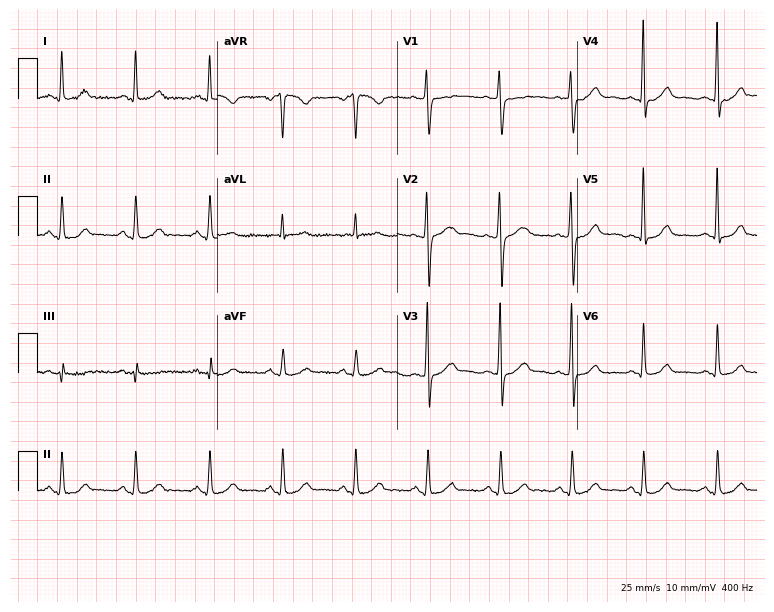
Resting 12-lead electrocardiogram (7.3-second recording at 400 Hz). Patient: a 42-year-old female. None of these six findings is recorded: first-degree AV block, right bundle branch block, left bundle branch block, sinus bradycardia, atrial fibrillation, sinus tachycardia.